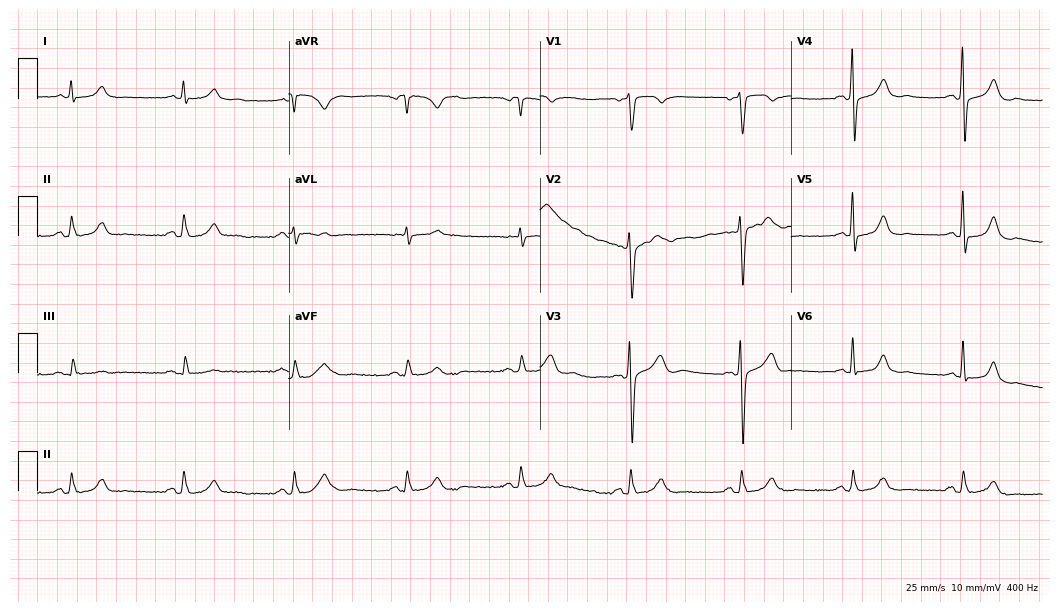
12-lead ECG from a man, 66 years old. Screened for six findings — first-degree AV block, right bundle branch block, left bundle branch block, sinus bradycardia, atrial fibrillation, sinus tachycardia — none is recorded. Only these six findings were labelled.